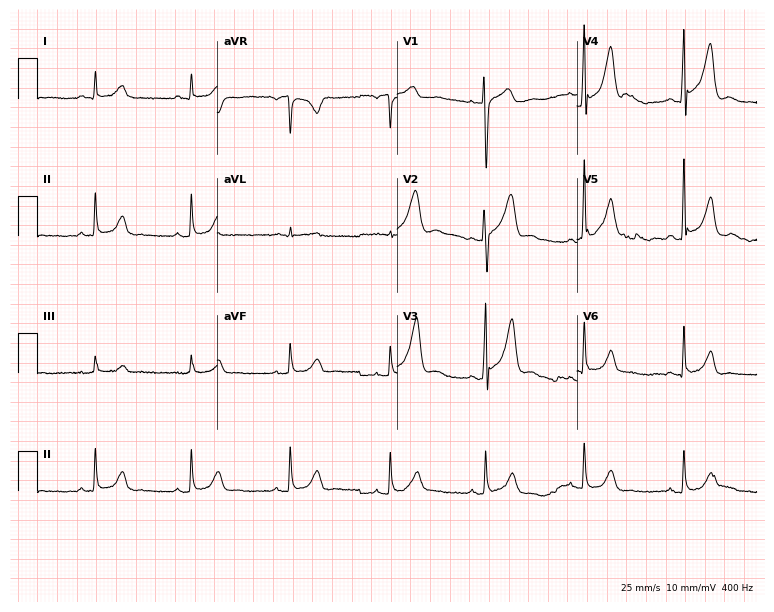
12-lead ECG from a 47-year-old male (7.3-second recording at 400 Hz). Recorded interpretation: within normal limits.